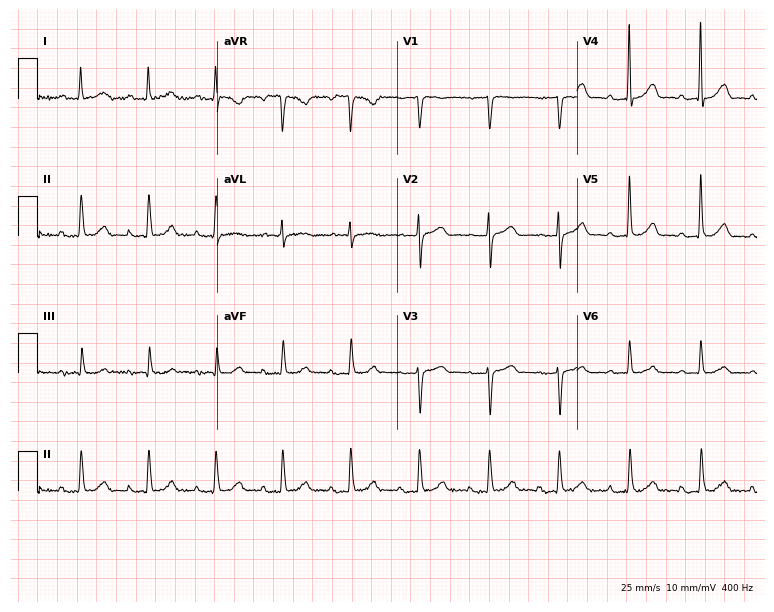
ECG — a female patient, 84 years old. Labelled as a normal ECG.